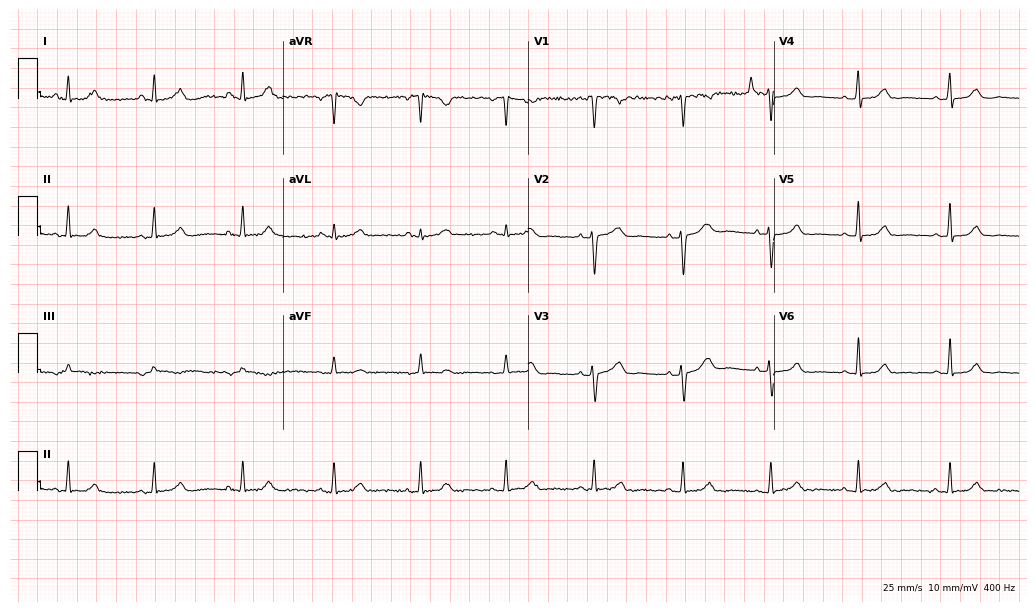
Standard 12-lead ECG recorded from a 46-year-old female (10-second recording at 400 Hz). Read as a normal ECG.